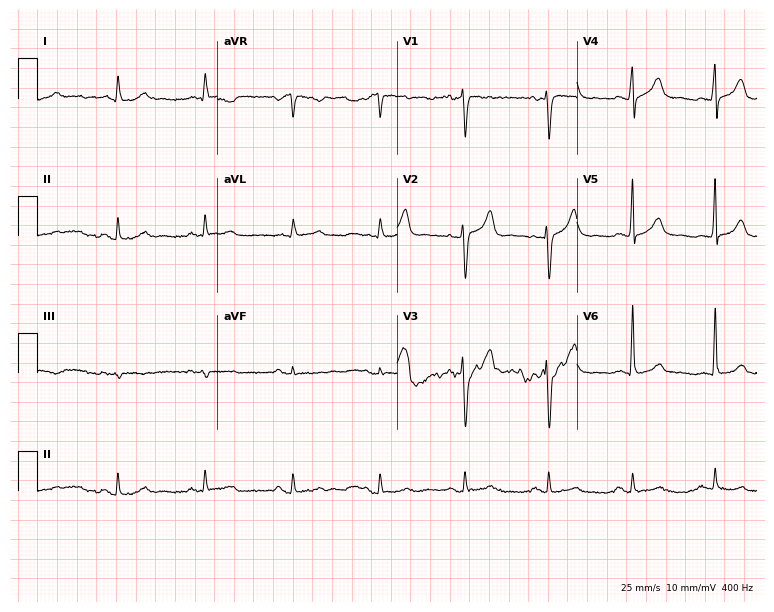
12-lead ECG from a male, 54 years old (7.3-second recording at 400 Hz). Recorded interpretation: within normal limits.